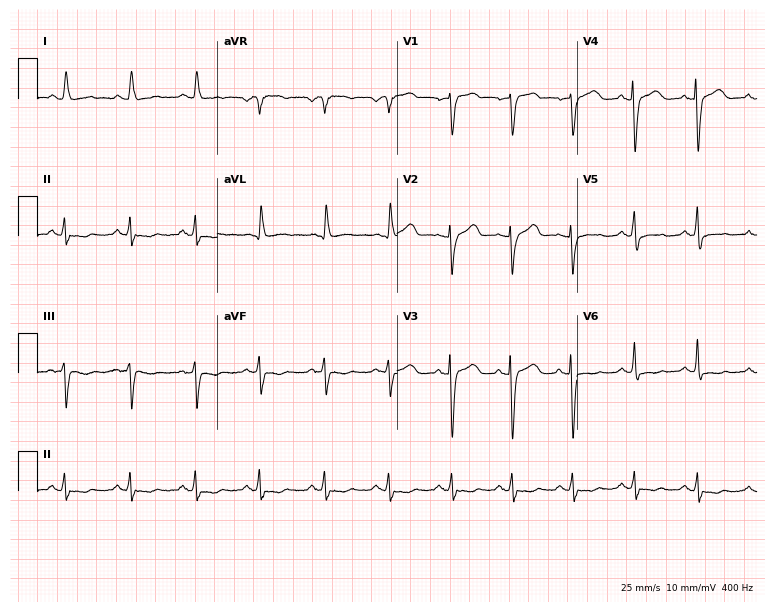
Electrocardiogram (7.3-second recording at 400 Hz), a woman, 70 years old. Overall reading on record: normal ECG.